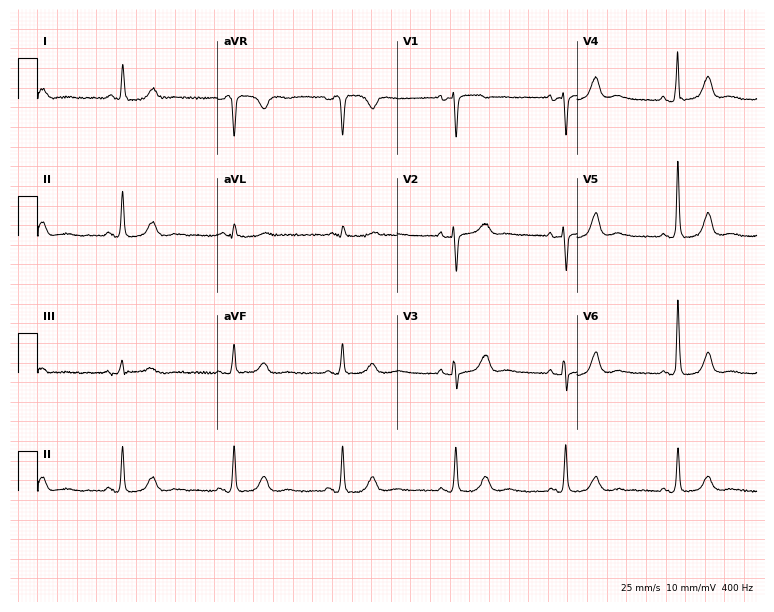
Standard 12-lead ECG recorded from a female, 73 years old (7.3-second recording at 400 Hz). Read as a normal ECG.